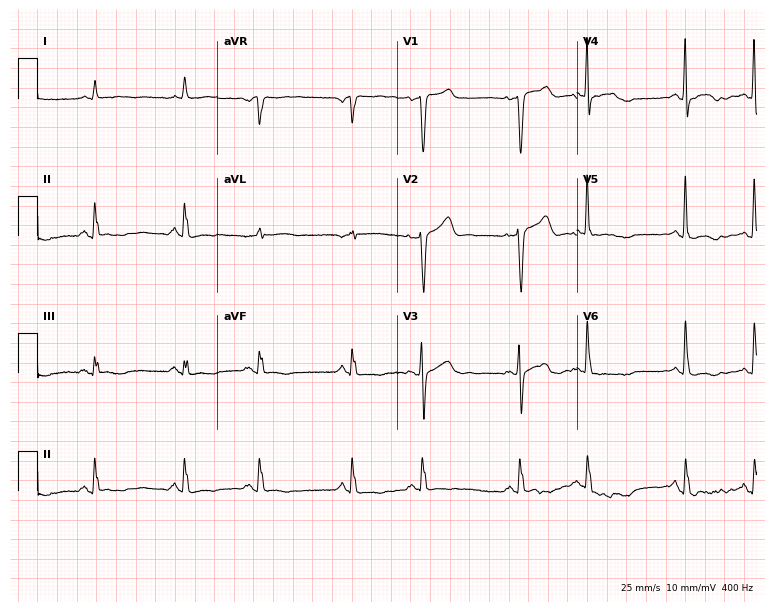
ECG (7.3-second recording at 400 Hz) — a male, 78 years old. Screened for six findings — first-degree AV block, right bundle branch block (RBBB), left bundle branch block (LBBB), sinus bradycardia, atrial fibrillation (AF), sinus tachycardia — none is recorded. Findings outside these six are not listed.